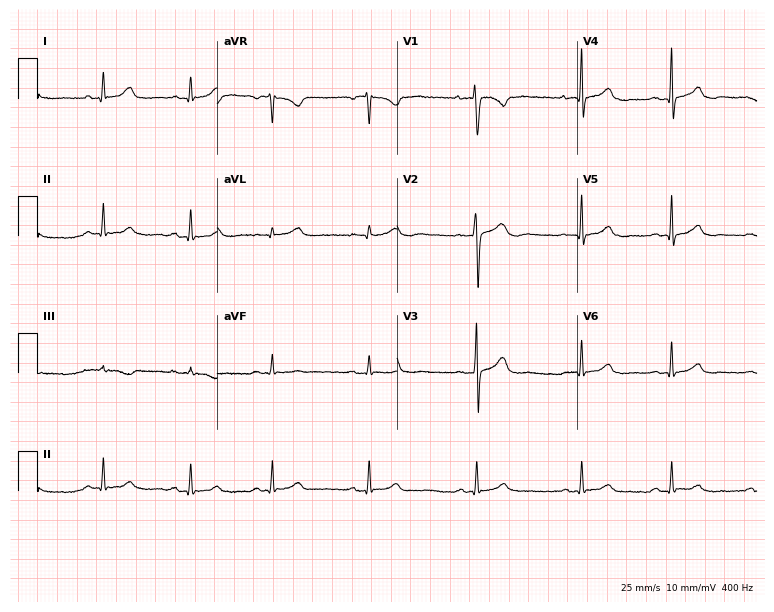
12-lead ECG from a 31-year-old female. Recorded interpretation: within normal limits.